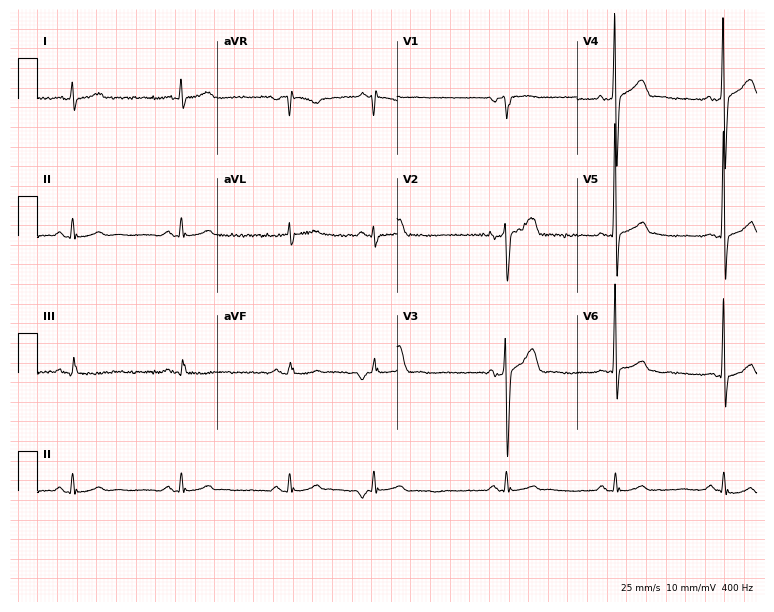
Electrocardiogram, a 52-year-old male patient. Of the six screened findings (first-degree AV block, right bundle branch block (RBBB), left bundle branch block (LBBB), sinus bradycardia, atrial fibrillation (AF), sinus tachycardia), none is recorded.